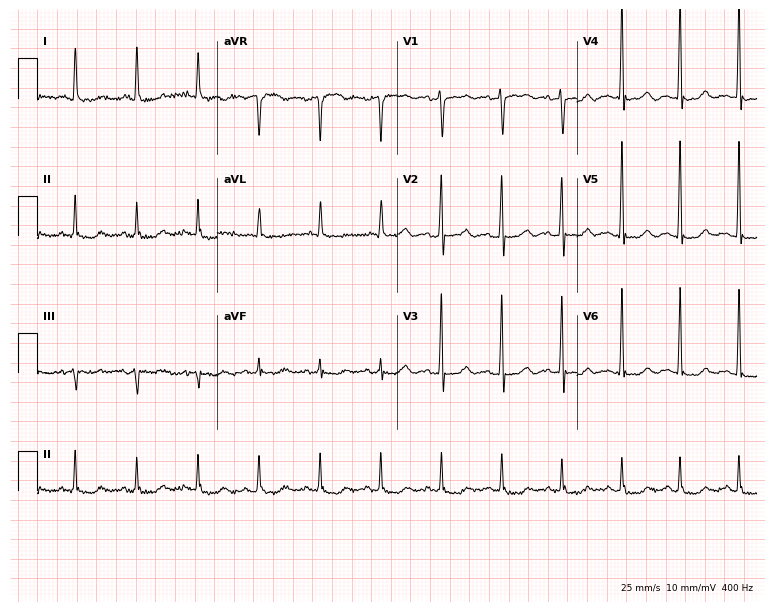
Standard 12-lead ECG recorded from a 66-year-old female. None of these six findings is recorded: first-degree AV block, right bundle branch block (RBBB), left bundle branch block (LBBB), sinus bradycardia, atrial fibrillation (AF), sinus tachycardia.